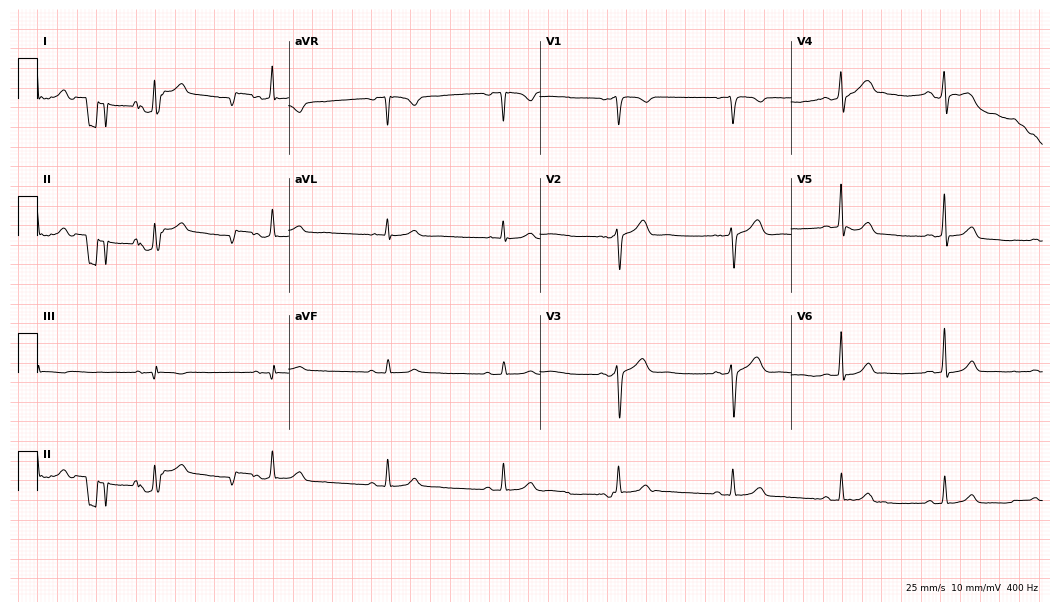
Resting 12-lead electrocardiogram. Patient: a man, 43 years old. None of these six findings is recorded: first-degree AV block, right bundle branch block (RBBB), left bundle branch block (LBBB), sinus bradycardia, atrial fibrillation (AF), sinus tachycardia. Findings outside these six are not listed.